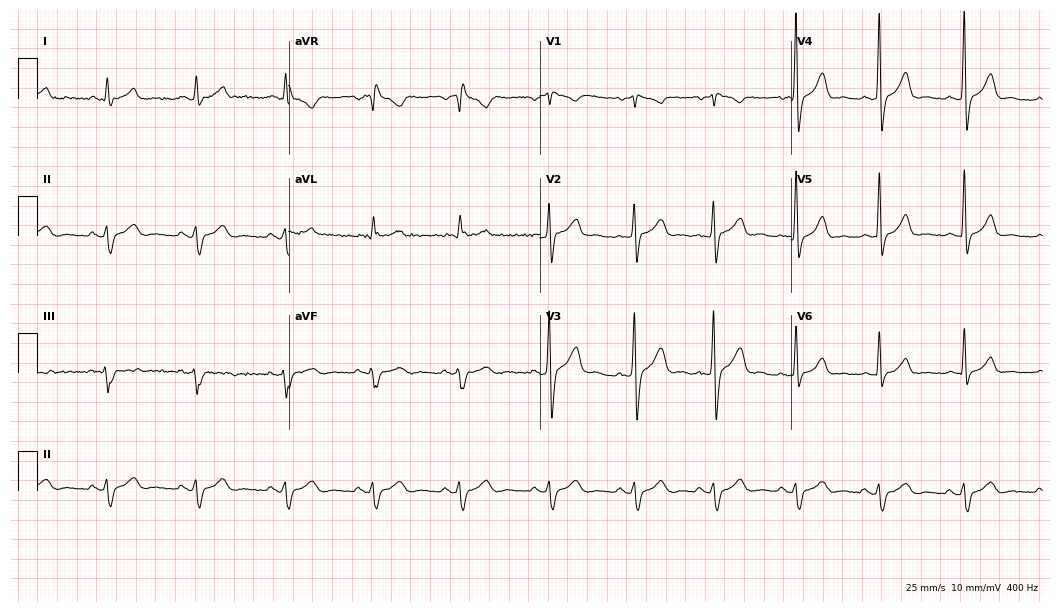
Electrocardiogram, a male patient, 52 years old. Of the six screened findings (first-degree AV block, right bundle branch block (RBBB), left bundle branch block (LBBB), sinus bradycardia, atrial fibrillation (AF), sinus tachycardia), none is recorded.